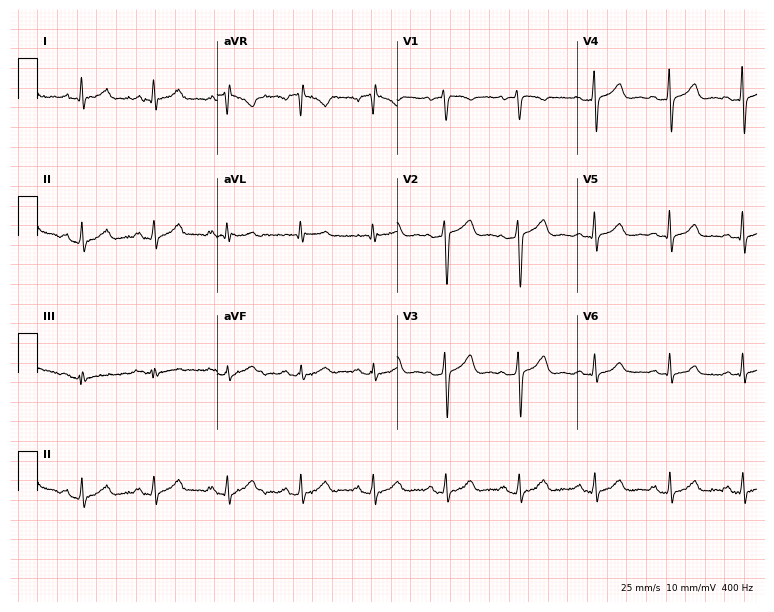
Electrocardiogram, a female, 41 years old. Overall reading on record: normal ECG.